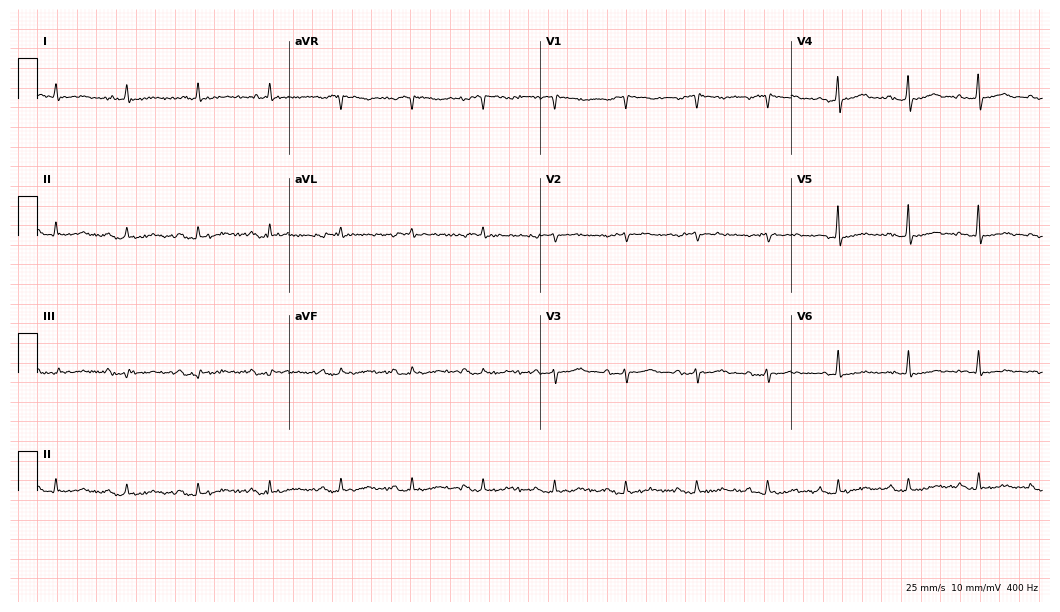
Electrocardiogram, a woman, 79 years old. Of the six screened findings (first-degree AV block, right bundle branch block, left bundle branch block, sinus bradycardia, atrial fibrillation, sinus tachycardia), none is recorded.